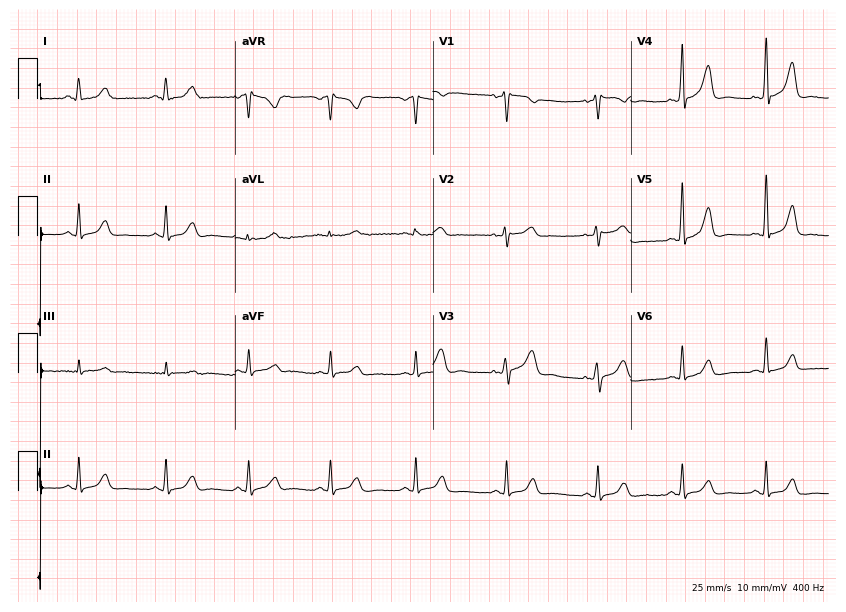
Electrocardiogram (8.1-second recording at 400 Hz), a female patient, 42 years old. Of the six screened findings (first-degree AV block, right bundle branch block, left bundle branch block, sinus bradycardia, atrial fibrillation, sinus tachycardia), none is recorded.